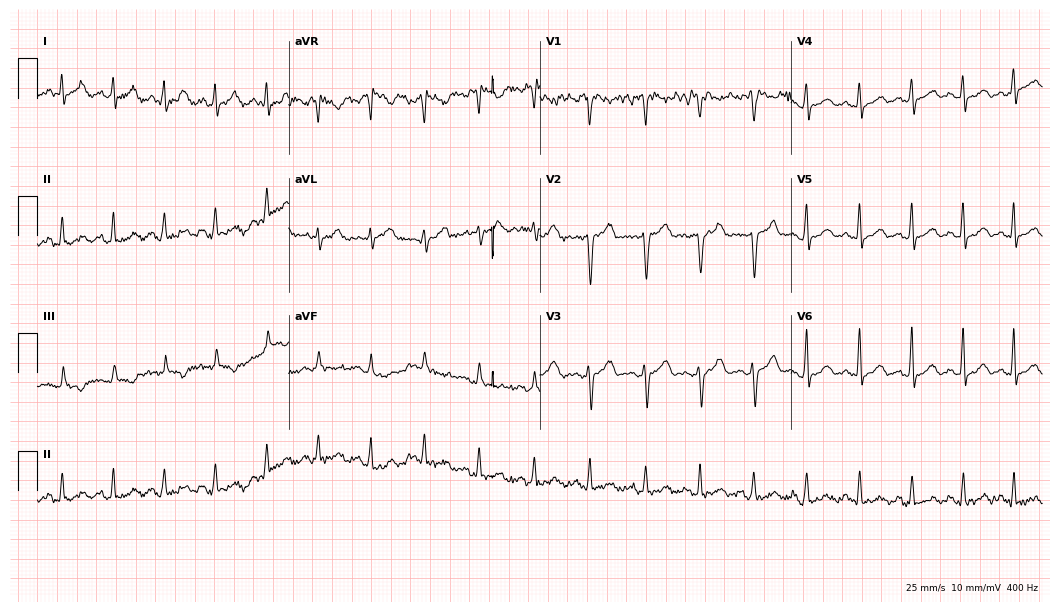
Resting 12-lead electrocardiogram. Patient: a woman, 34 years old. None of these six findings is recorded: first-degree AV block, right bundle branch block, left bundle branch block, sinus bradycardia, atrial fibrillation, sinus tachycardia.